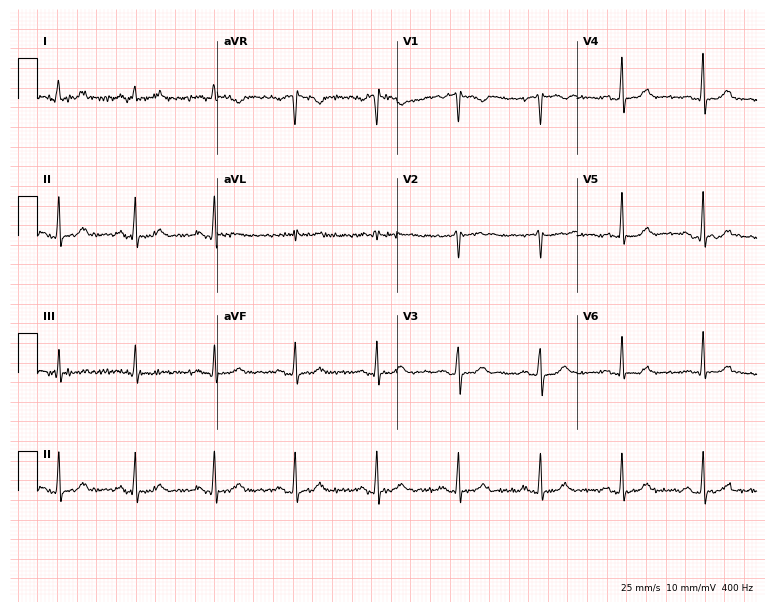
12-lead ECG from a female, 33 years old (7.3-second recording at 400 Hz). Recorded interpretation: within normal limits.